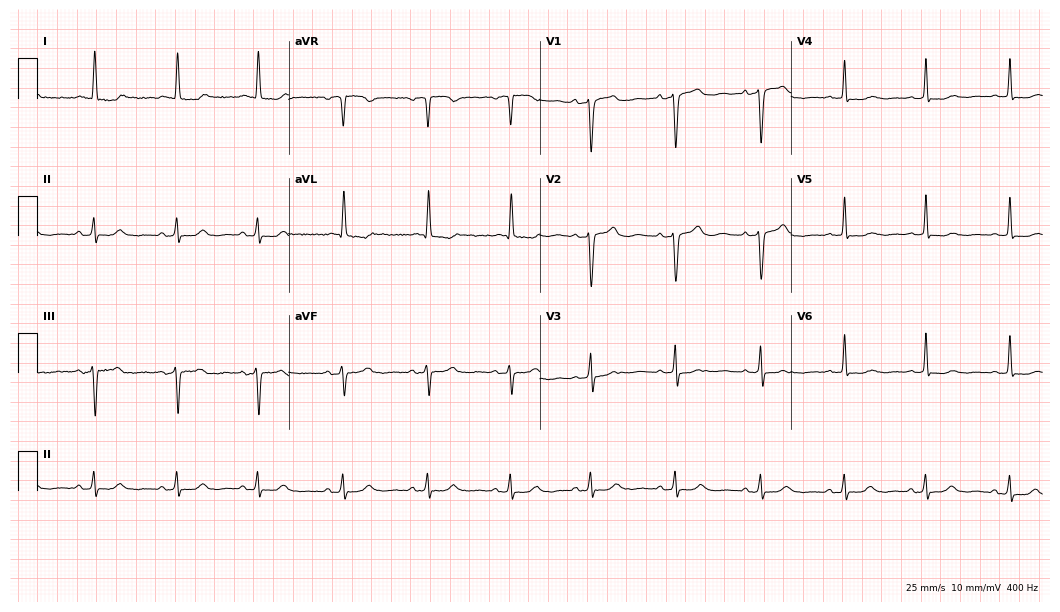
ECG — a female, 83 years old. Labelled as a normal ECG.